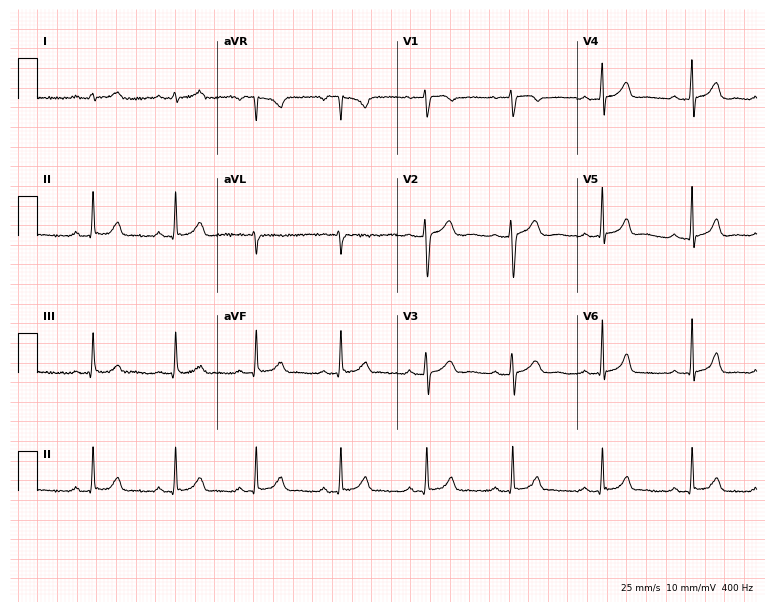
12-lead ECG from a female patient, 23 years old. Screened for six findings — first-degree AV block, right bundle branch block, left bundle branch block, sinus bradycardia, atrial fibrillation, sinus tachycardia — none is recorded. Findings outside these six are not listed.